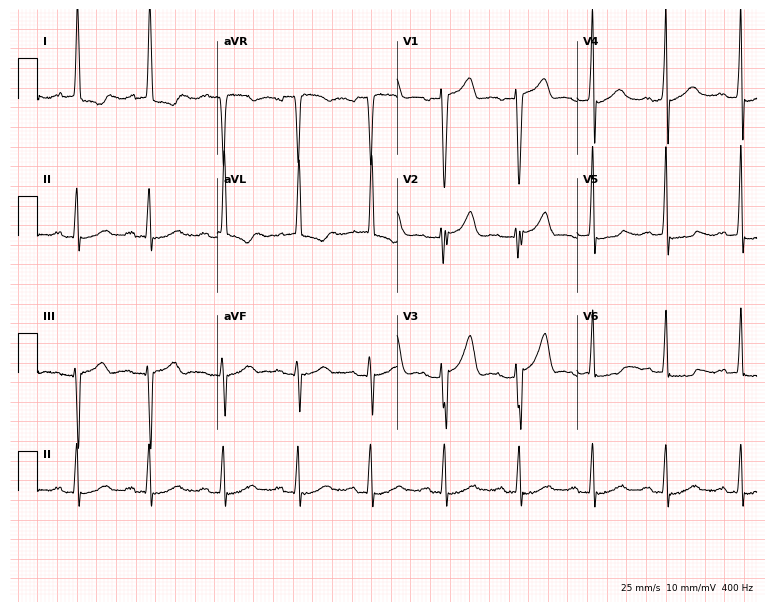
12-lead ECG from a woman, 72 years old (7.3-second recording at 400 Hz). No first-degree AV block, right bundle branch block (RBBB), left bundle branch block (LBBB), sinus bradycardia, atrial fibrillation (AF) or sinus tachycardia recorded for this tracing. Findings outside these six are not listed.